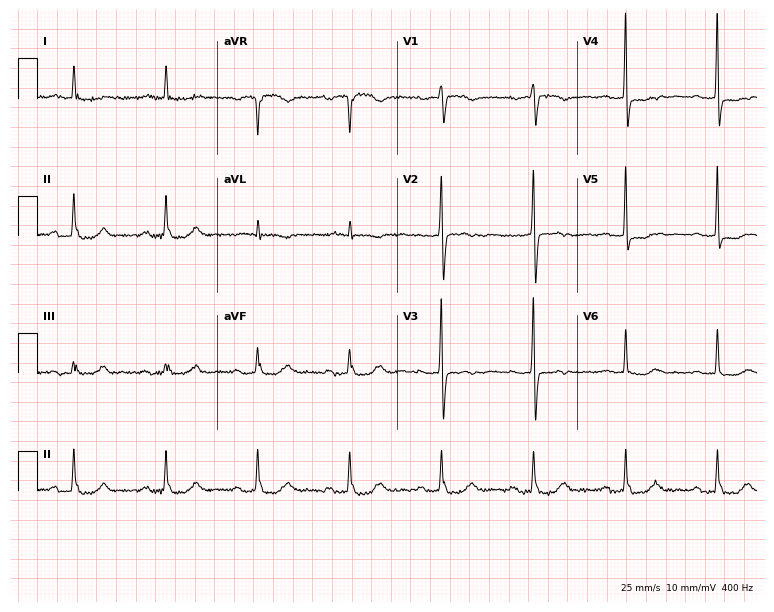
Standard 12-lead ECG recorded from an 85-year-old woman. None of these six findings is recorded: first-degree AV block, right bundle branch block (RBBB), left bundle branch block (LBBB), sinus bradycardia, atrial fibrillation (AF), sinus tachycardia. Other findings, if any, are not listed.